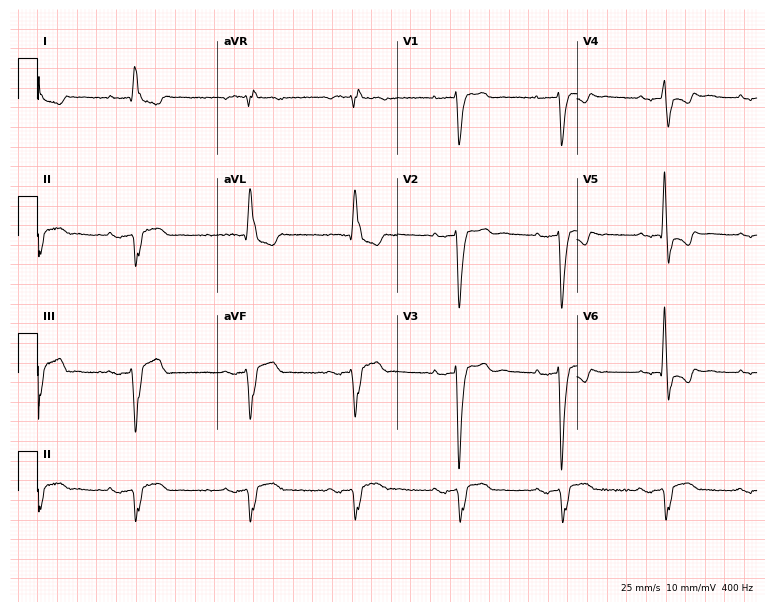
ECG (7.3-second recording at 400 Hz) — an 80-year-old male. Screened for six findings — first-degree AV block, right bundle branch block (RBBB), left bundle branch block (LBBB), sinus bradycardia, atrial fibrillation (AF), sinus tachycardia — none is recorded.